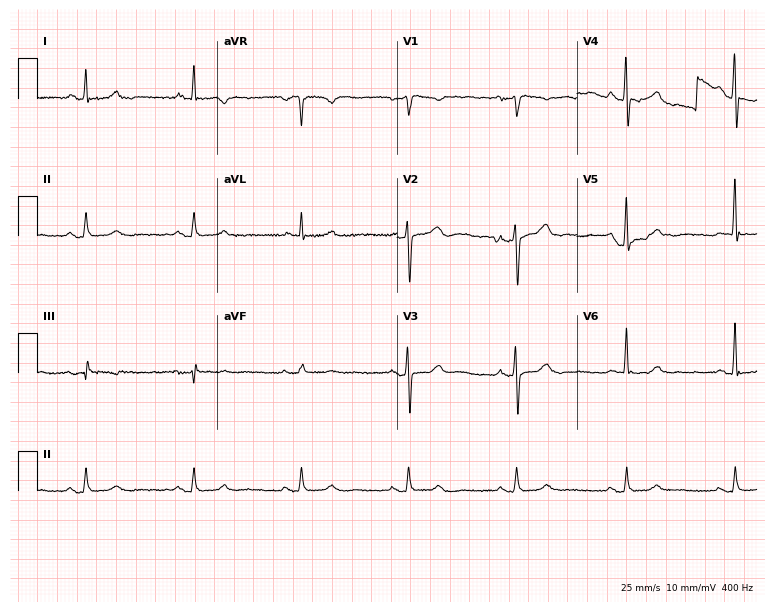
Electrocardiogram, a male patient, 56 years old. Overall reading on record: normal ECG.